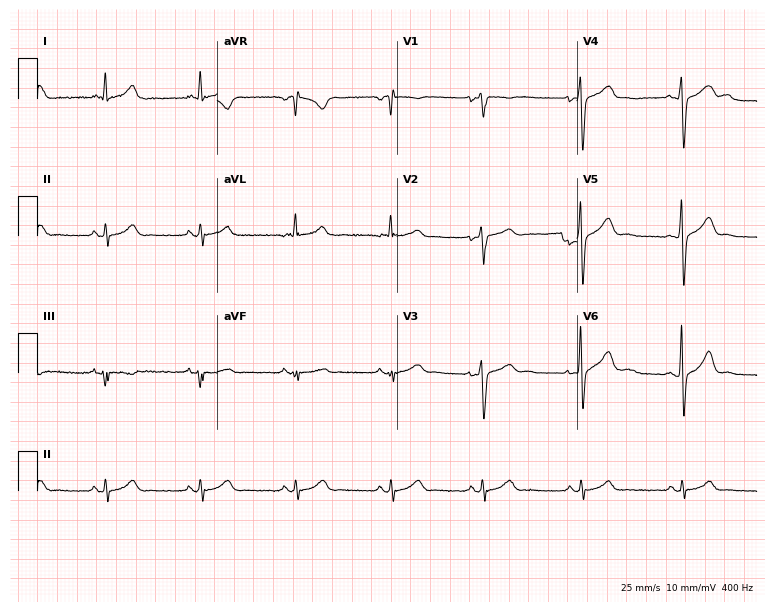
ECG (7.3-second recording at 400 Hz) — a 61-year-old male patient. Screened for six findings — first-degree AV block, right bundle branch block, left bundle branch block, sinus bradycardia, atrial fibrillation, sinus tachycardia — none is recorded. Findings outside these six are not listed.